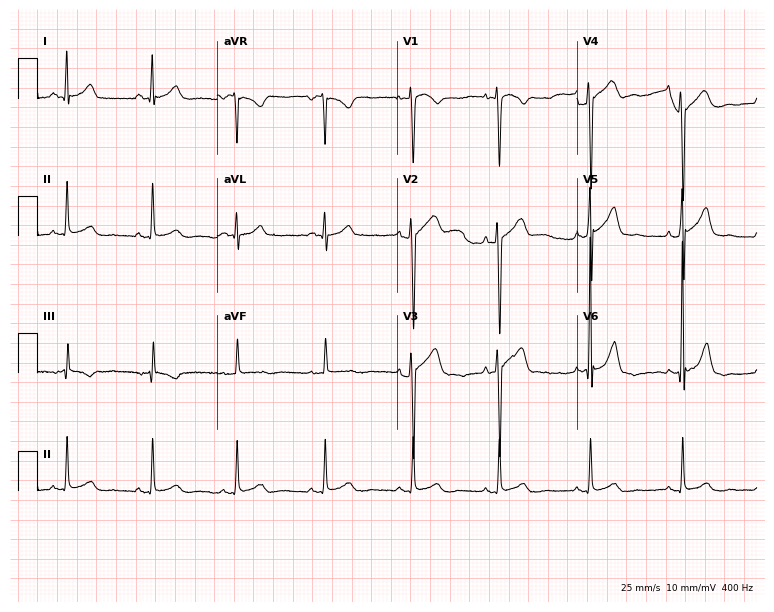
12-lead ECG (7.3-second recording at 400 Hz) from a man, 48 years old. Screened for six findings — first-degree AV block, right bundle branch block, left bundle branch block, sinus bradycardia, atrial fibrillation, sinus tachycardia — none is recorded. Other findings, if any, are not listed.